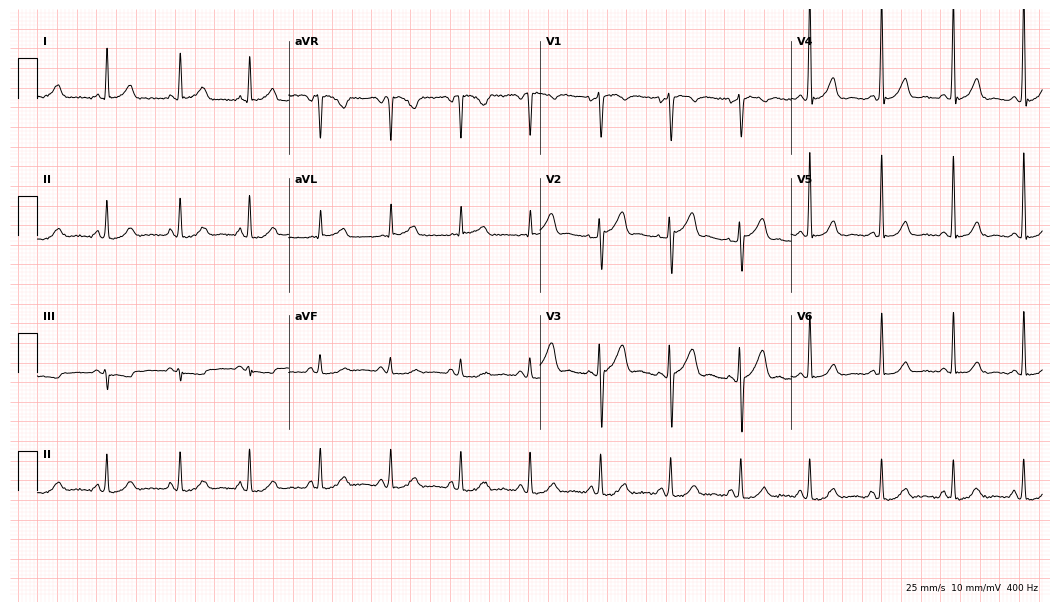
Standard 12-lead ECG recorded from a 57-year-old male (10.2-second recording at 400 Hz). None of these six findings is recorded: first-degree AV block, right bundle branch block, left bundle branch block, sinus bradycardia, atrial fibrillation, sinus tachycardia.